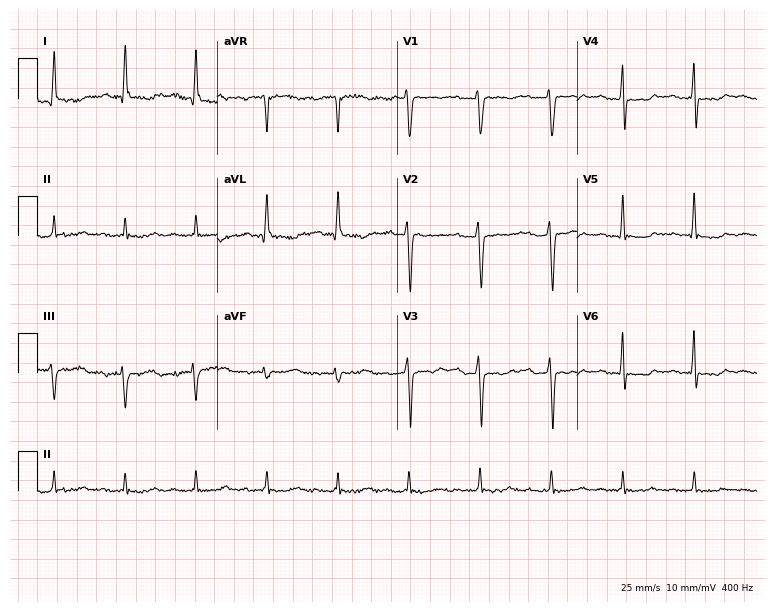
Resting 12-lead electrocardiogram (7.3-second recording at 400 Hz). Patient: a 72-year-old male. None of these six findings is recorded: first-degree AV block, right bundle branch block, left bundle branch block, sinus bradycardia, atrial fibrillation, sinus tachycardia.